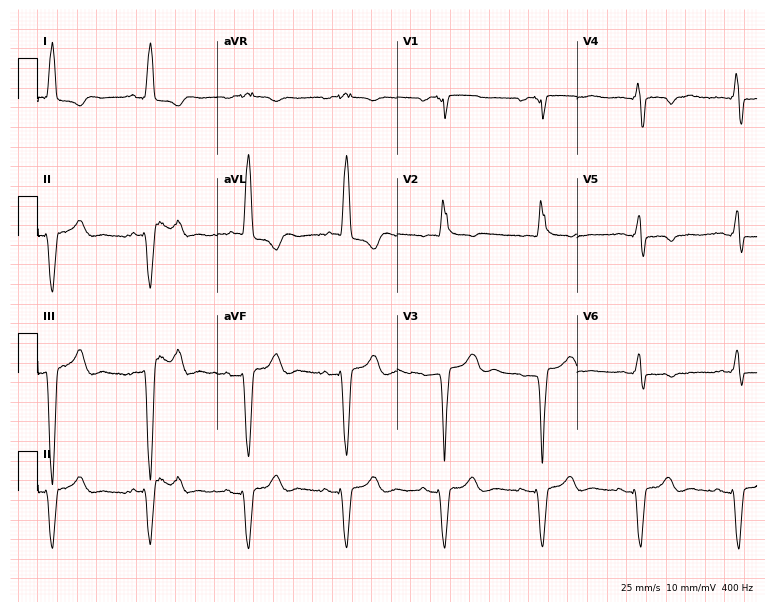
Standard 12-lead ECG recorded from an 81-year-old female. The tracing shows right bundle branch block (RBBB).